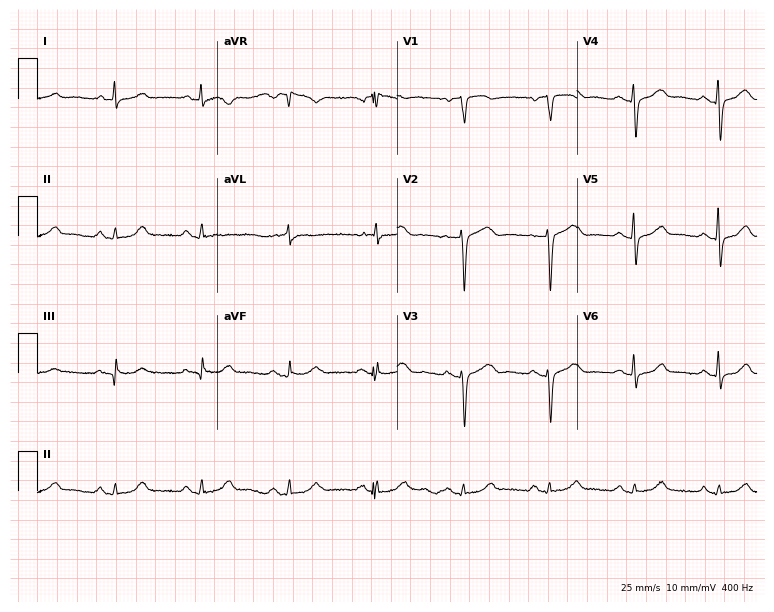
Electrocardiogram (7.3-second recording at 400 Hz), an 84-year-old female. Overall reading on record: normal ECG.